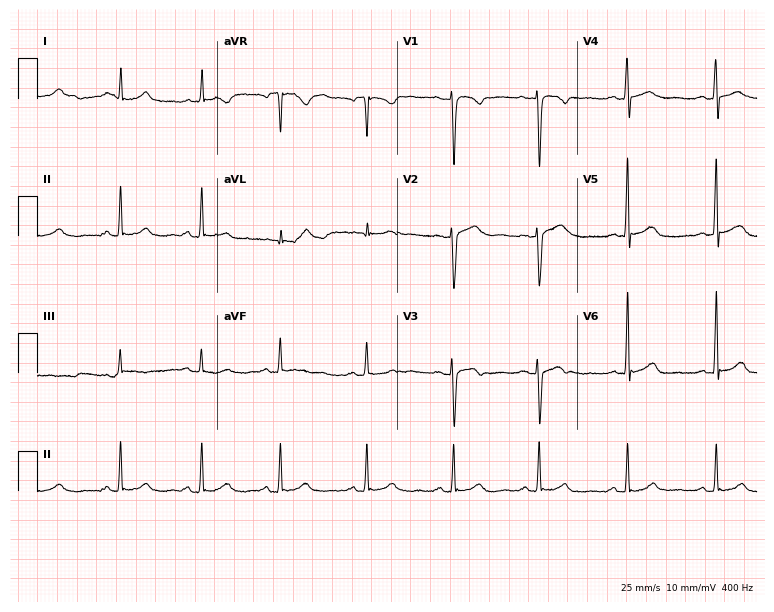
12-lead ECG (7.3-second recording at 400 Hz) from a female patient, 41 years old. Labelled as a normal ECG.